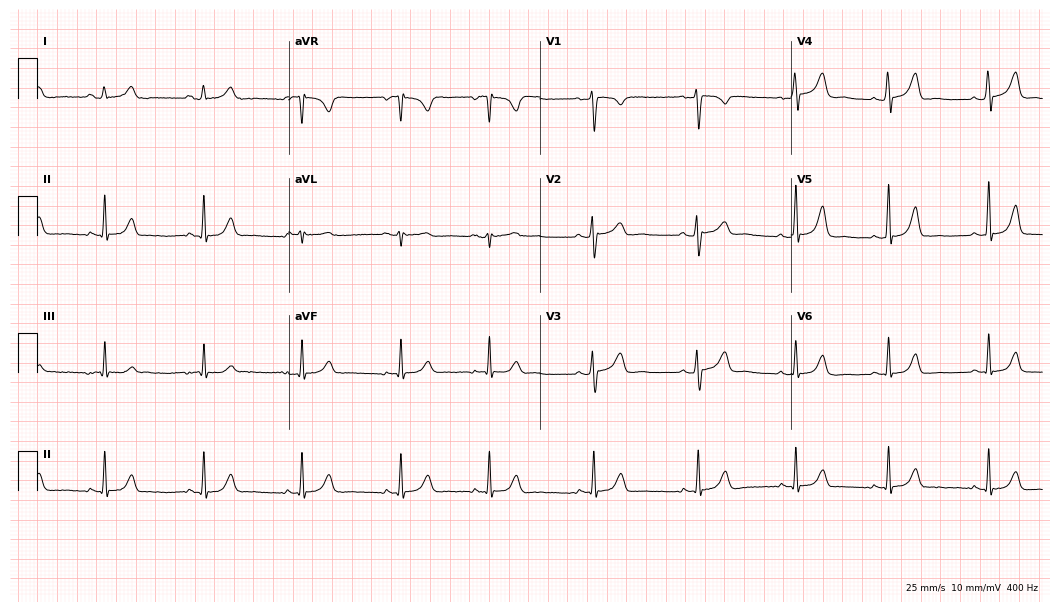
Electrocardiogram, a female, 35 years old. Overall reading on record: normal ECG.